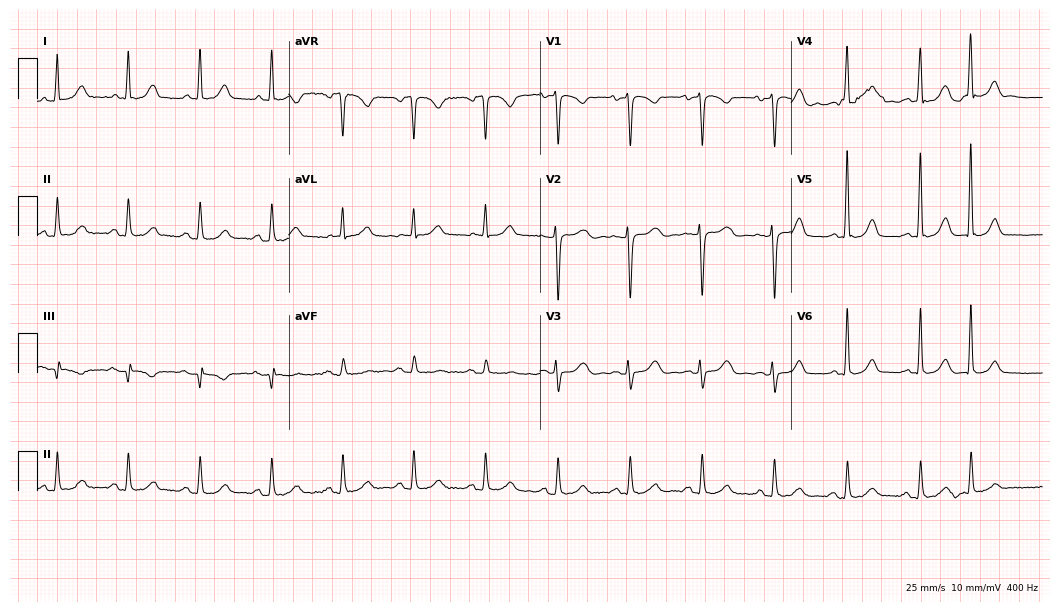
12-lead ECG from a female, 71 years old. No first-degree AV block, right bundle branch block, left bundle branch block, sinus bradycardia, atrial fibrillation or sinus tachycardia recorded for this tracing.